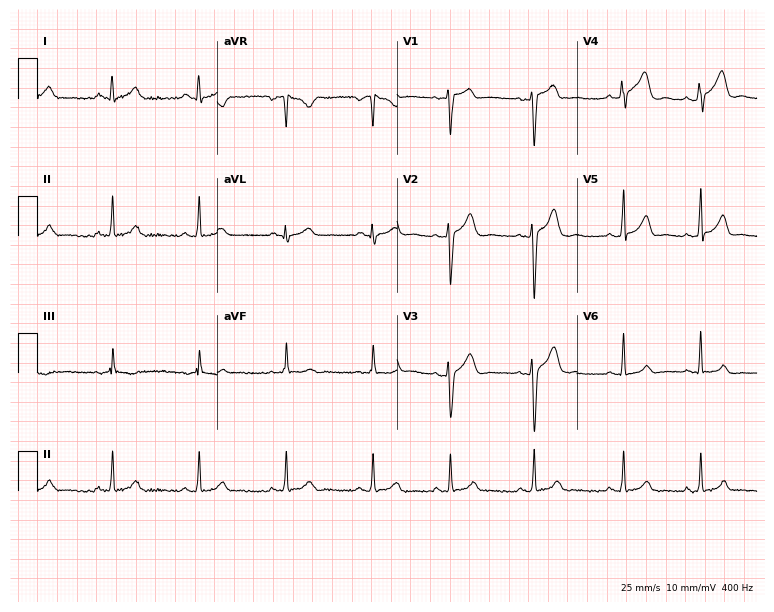
ECG — a 34-year-old male. Screened for six findings — first-degree AV block, right bundle branch block (RBBB), left bundle branch block (LBBB), sinus bradycardia, atrial fibrillation (AF), sinus tachycardia — none is recorded. Other findings, if any, are not listed.